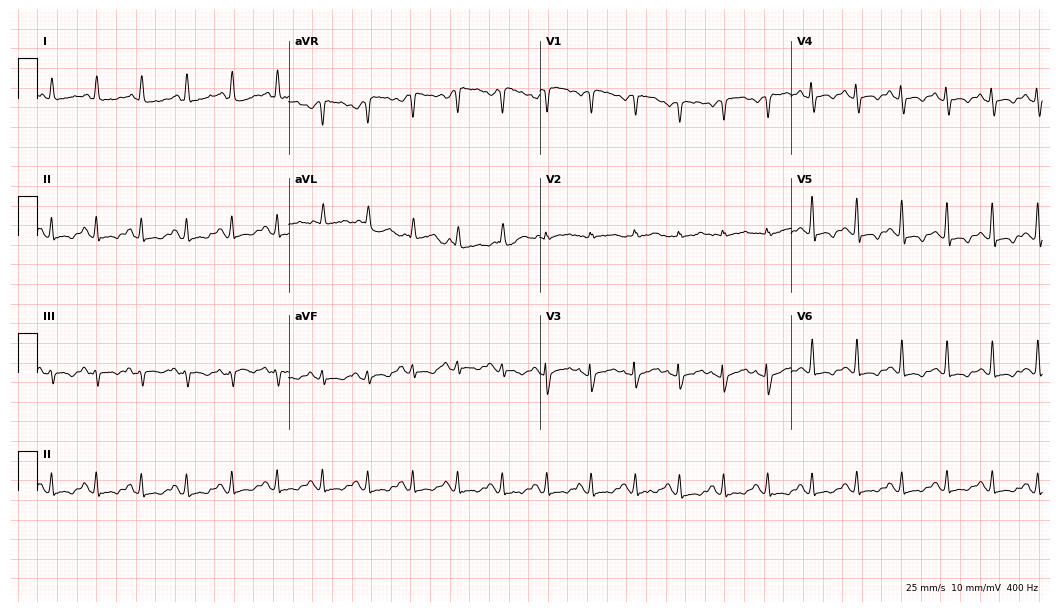
Standard 12-lead ECG recorded from a female patient, 36 years old (10.2-second recording at 400 Hz). The tracing shows sinus tachycardia (a sinus rate of 100 beats per minute or more).